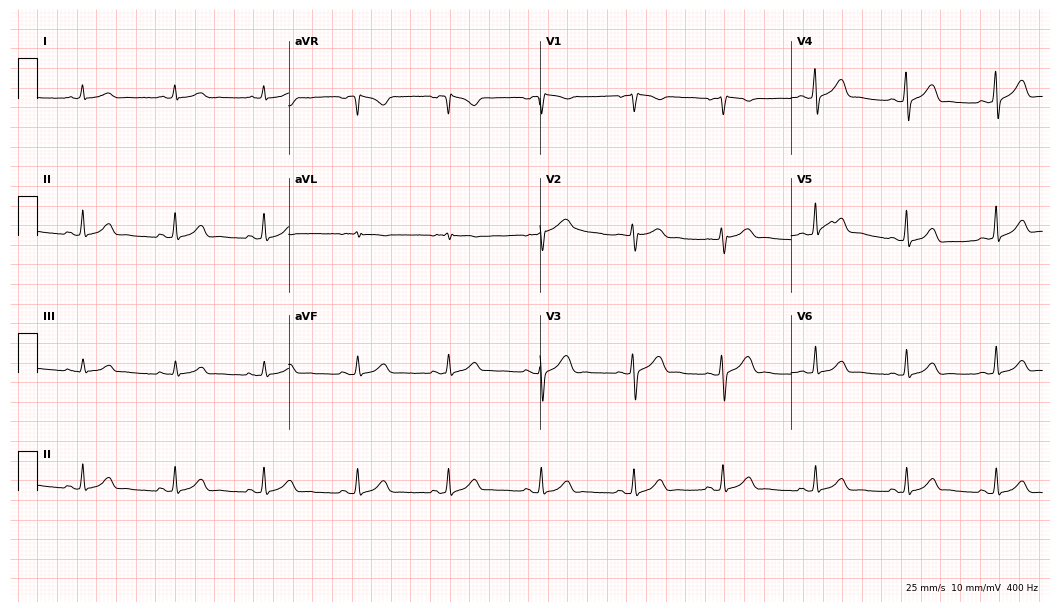
Electrocardiogram (10.2-second recording at 400 Hz), a 37-year-old woman. Overall reading on record: normal ECG.